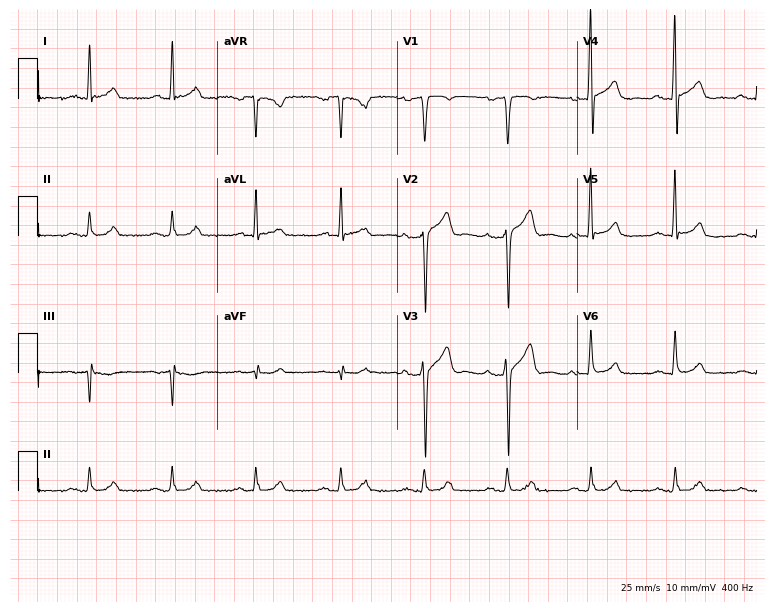
Electrocardiogram (7.3-second recording at 400 Hz), a 47-year-old male. Of the six screened findings (first-degree AV block, right bundle branch block, left bundle branch block, sinus bradycardia, atrial fibrillation, sinus tachycardia), none is recorded.